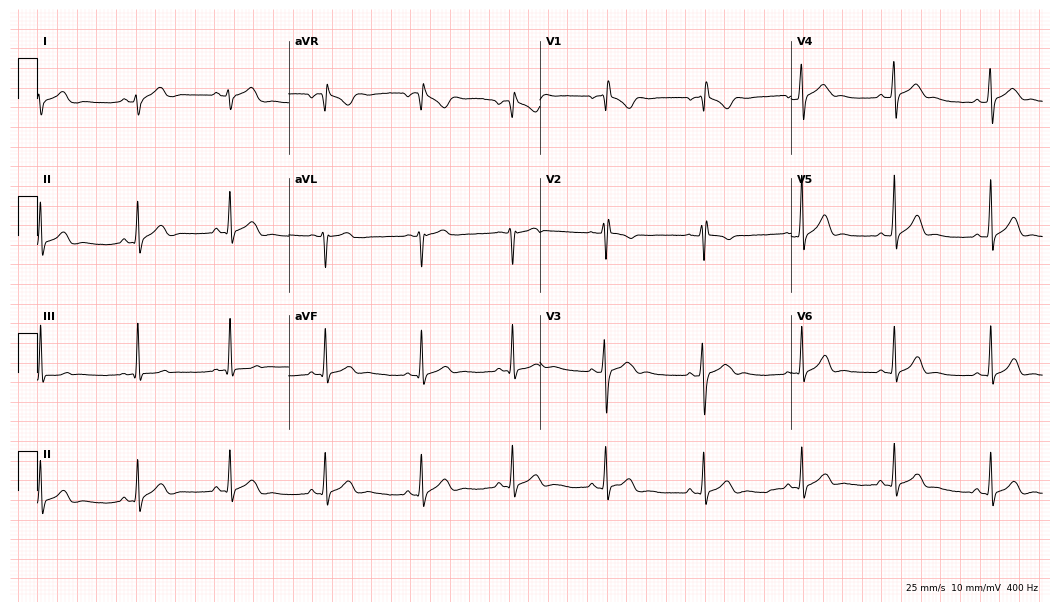
Resting 12-lead electrocardiogram (10.2-second recording at 400 Hz). Patient: a woman, 18 years old. Read as a normal ECG.